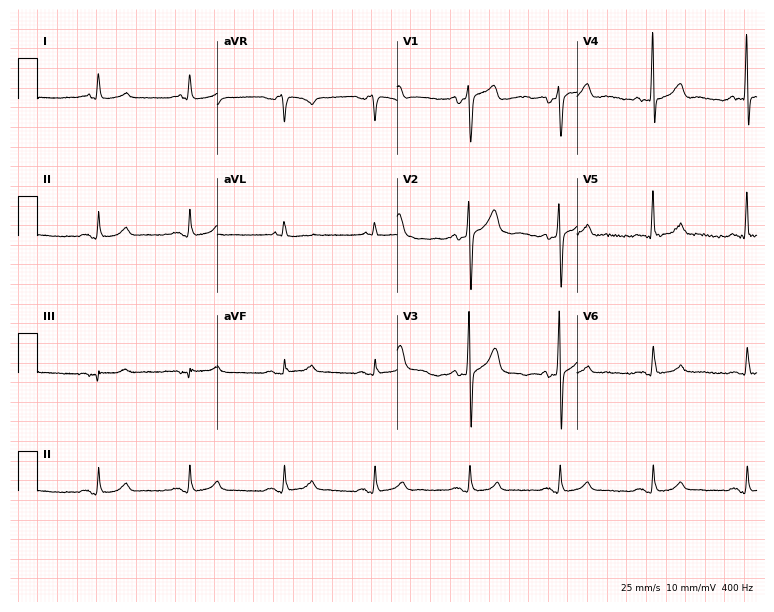
Resting 12-lead electrocardiogram (7.3-second recording at 400 Hz). Patient: a 73-year-old man. None of these six findings is recorded: first-degree AV block, right bundle branch block, left bundle branch block, sinus bradycardia, atrial fibrillation, sinus tachycardia.